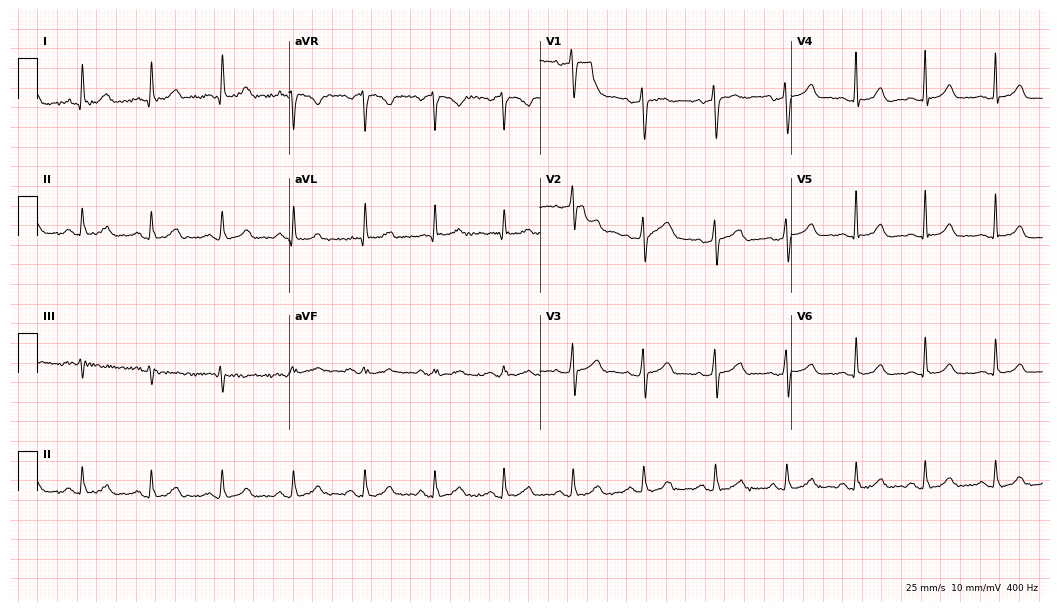
Standard 12-lead ECG recorded from a 55-year-old woman (10.2-second recording at 400 Hz). Read as a normal ECG.